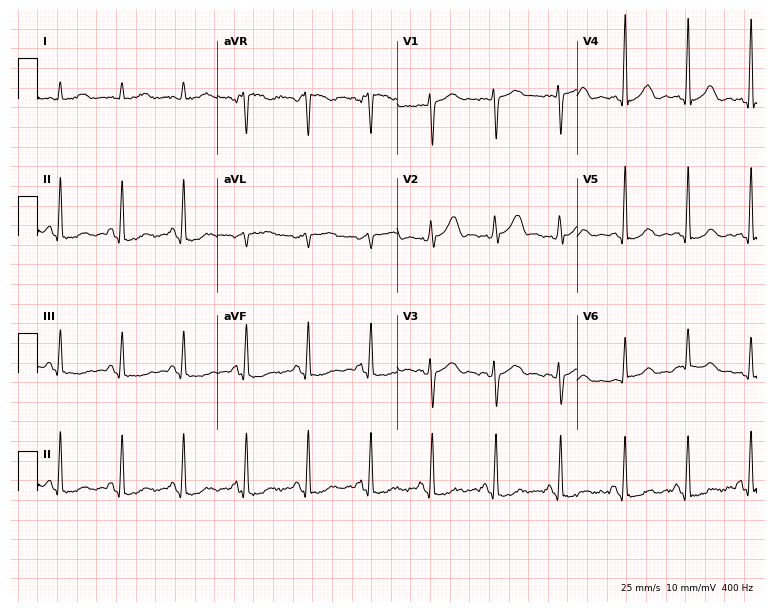
Resting 12-lead electrocardiogram. Patient: a 46-year-old female. None of these six findings is recorded: first-degree AV block, right bundle branch block, left bundle branch block, sinus bradycardia, atrial fibrillation, sinus tachycardia. Only these six findings were labelled.